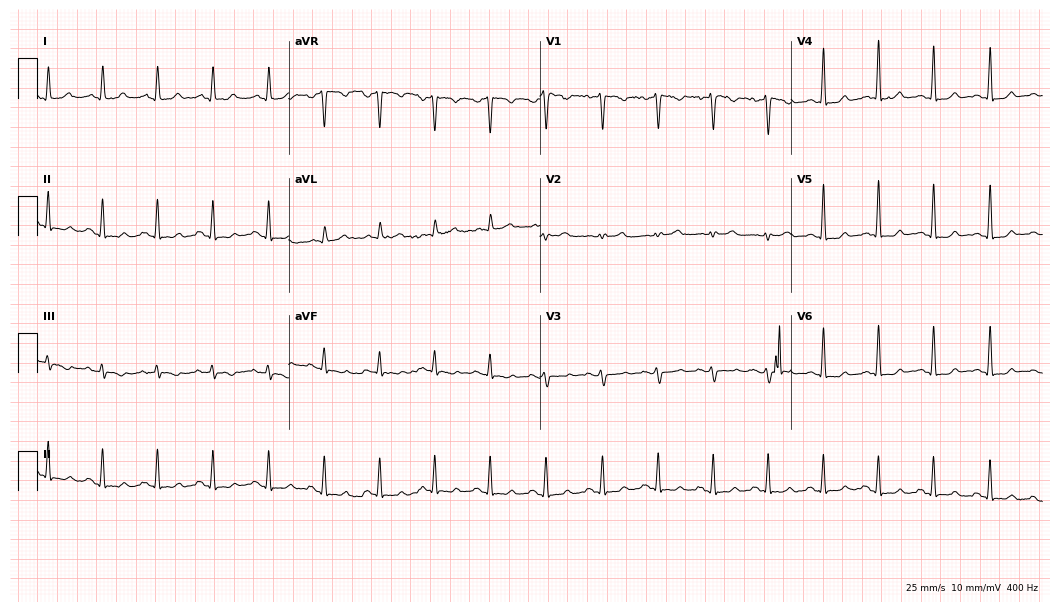
ECG (10.2-second recording at 400 Hz) — a 21-year-old female. Screened for six findings — first-degree AV block, right bundle branch block, left bundle branch block, sinus bradycardia, atrial fibrillation, sinus tachycardia — none is recorded. Only these six findings were labelled.